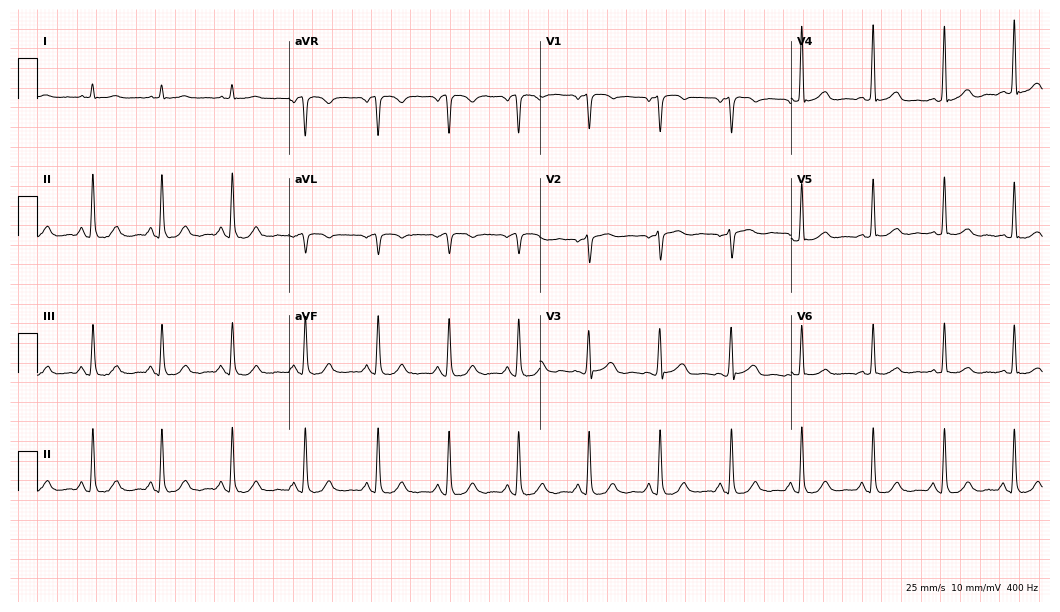
12-lead ECG from a man, 58 years old. No first-degree AV block, right bundle branch block, left bundle branch block, sinus bradycardia, atrial fibrillation or sinus tachycardia recorded for this tracing. Only these six findings were labelled.